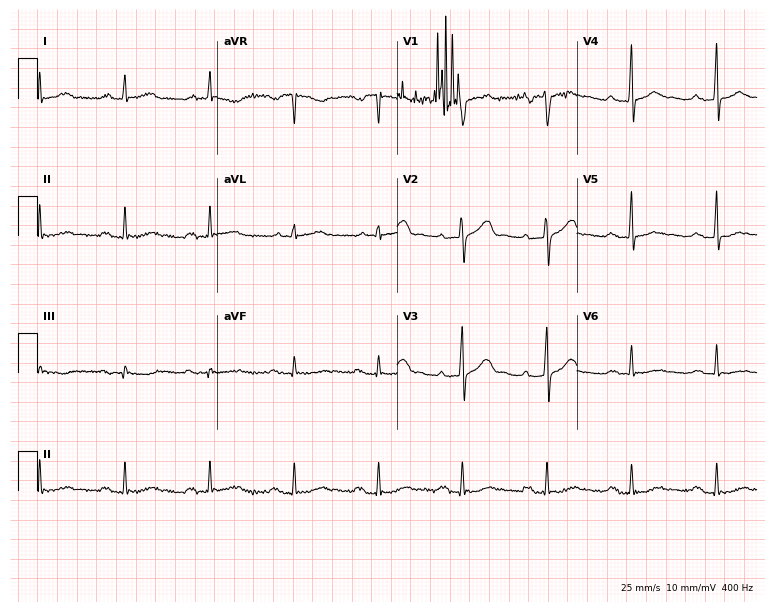
ECG (7.3-second recording at 400 Hz) — a 58-year-old man. Findings include first-degree AV block.